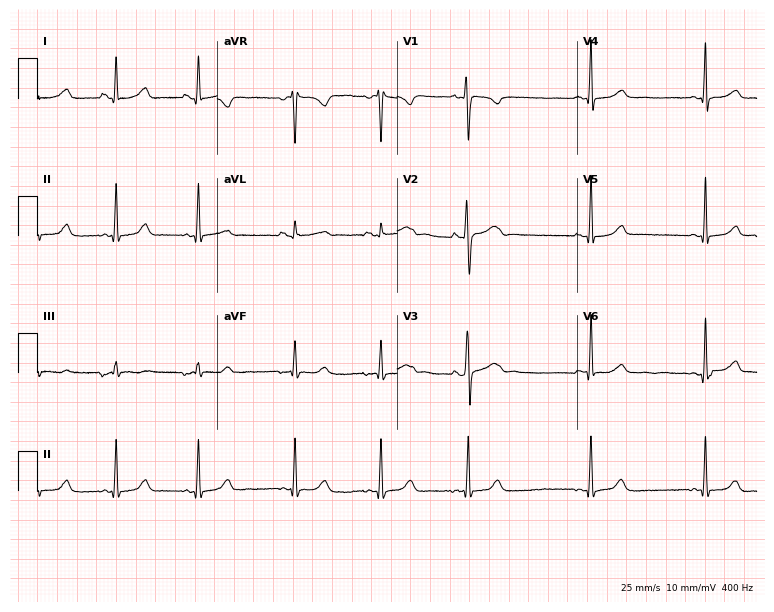
Electrocardiogram (7.3-second recording at 400 Hz), a 22-year-old female. Of the six screened findings (first-degree AV block, right bundle branch block, left bundle branch block, sinus bradycardia, atrial fibrillation, sinus tachycardia), none is recorded.